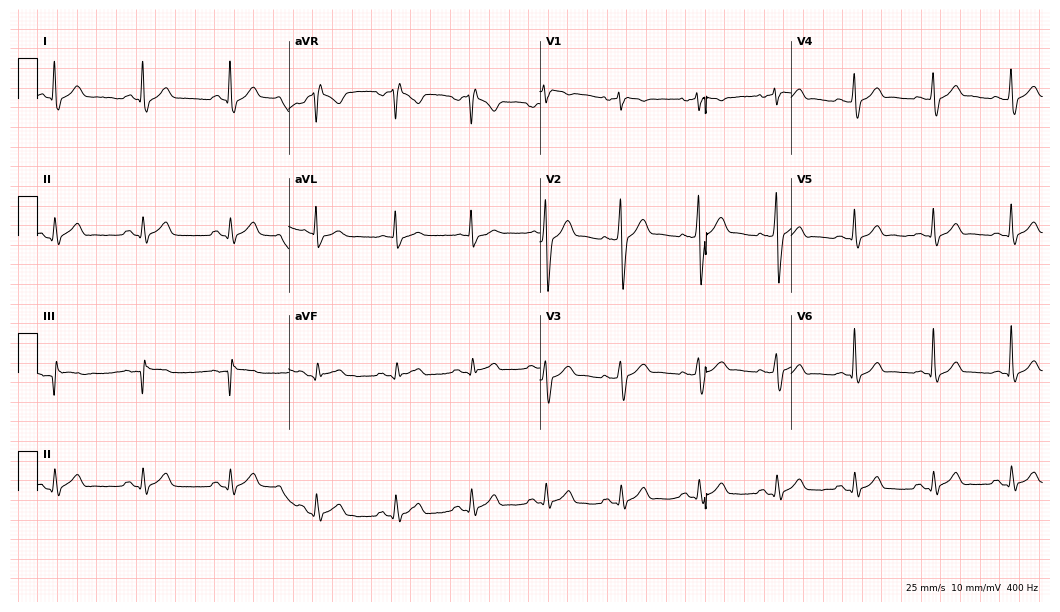
12-lead ECG (10.2-second recording at 400 Hz) from a 34-year-old man. Screened for six findings — first-degree AV block, right bundle branch block, left bundle branch block, sinus bradycardia, atrial fibrillation, sinus tachycardia — none is recorded.